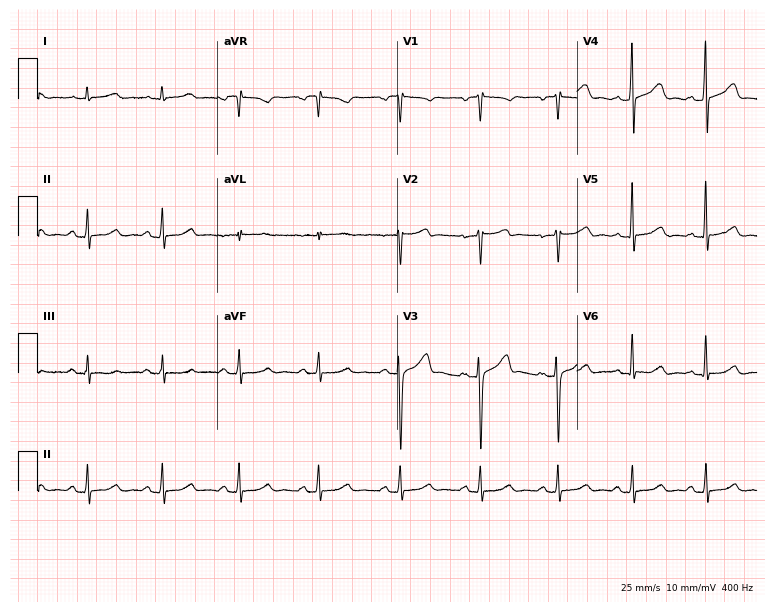
Electrocardiogram, a female, 42 years old. Overall reading on record: normal ECG.